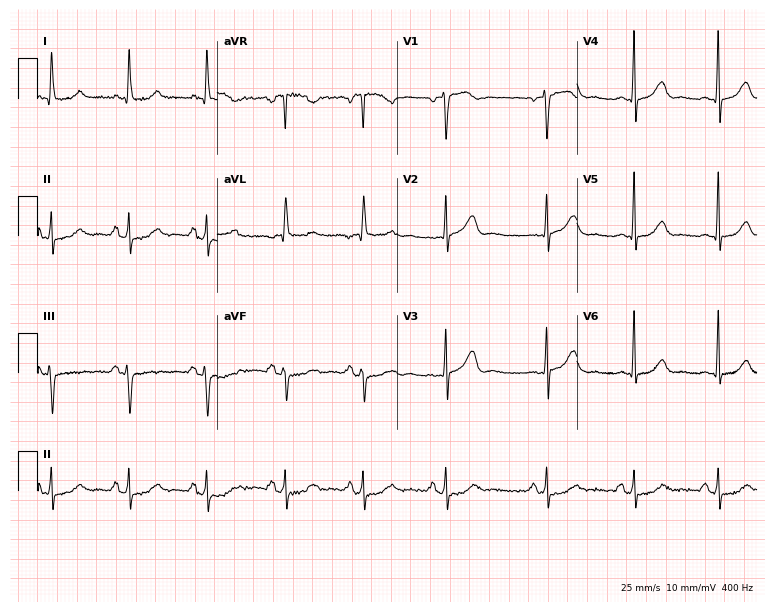
ECG (7.3-second recording at 400 Hz) — a 58-year-old female. Screened for six findings — first-degree AV block, right bundle branch block, left bundle branch block, sinus bradycardia, atrial fibrillation, sinus tachycardia — none is recorded.